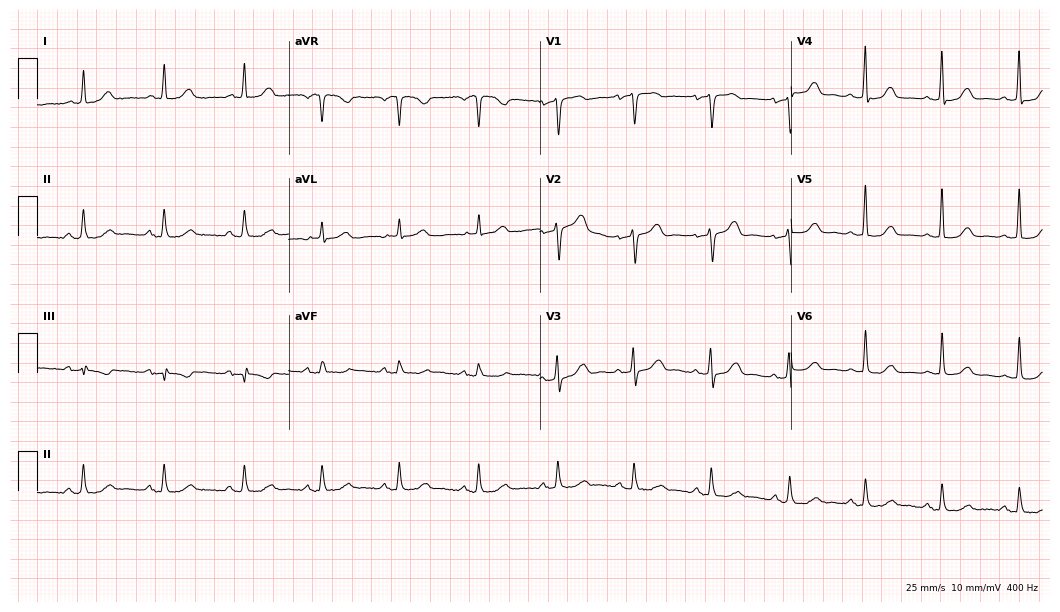
ECG (10.2-second recording at 400 Hz) — a woman, 69 years old. Labelled as a normal ECG.